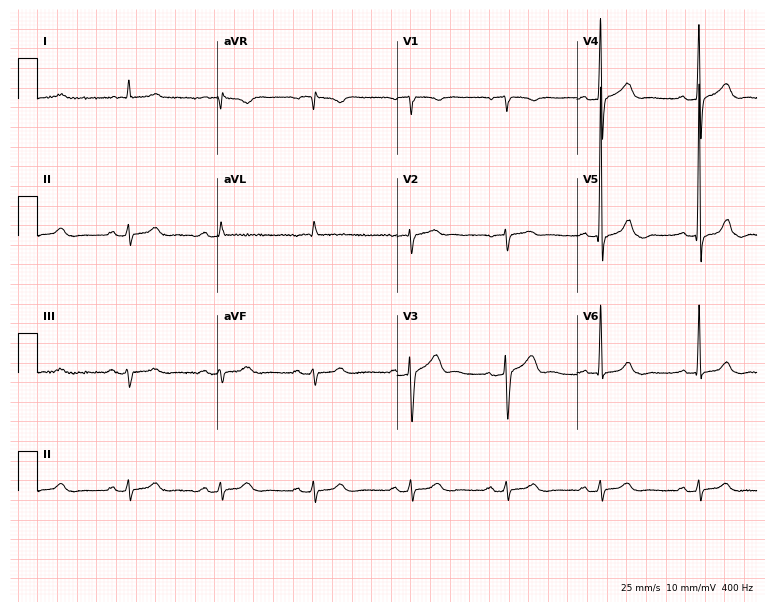
12-lead ECG from a male, 81 years old. No first-degree AV block, right bundle branch block, left bundle branch block, sinus bradycardia, atrial fibrillation or sinus tachycardia recorded for this tracing. Other findings, if any, are not listed.